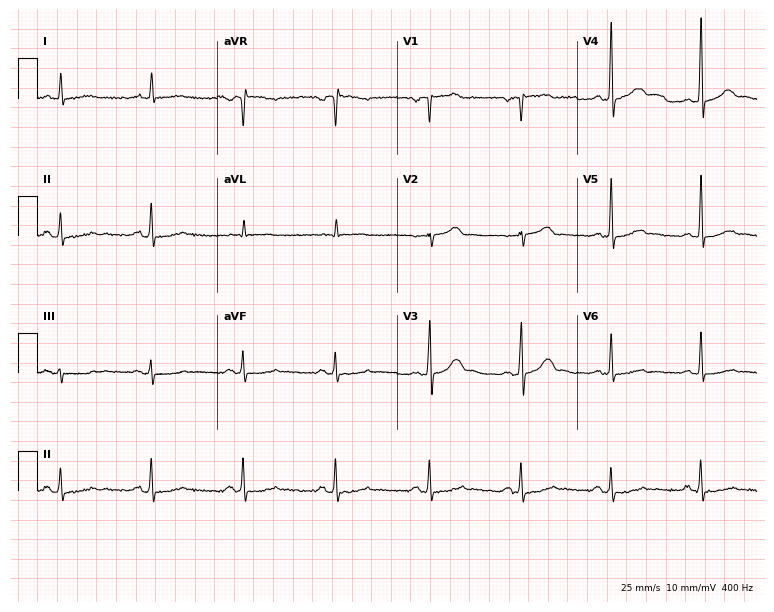
12-lead ECG (7.3-second recording at 400 Hz) from a 52-year-old female patient. Screened for six findings — first-degree AV block, right bundle branch block, left bundle branch block, sinus bradycardia, atrial fibrillation, sinus tachycardia — none is recorded.